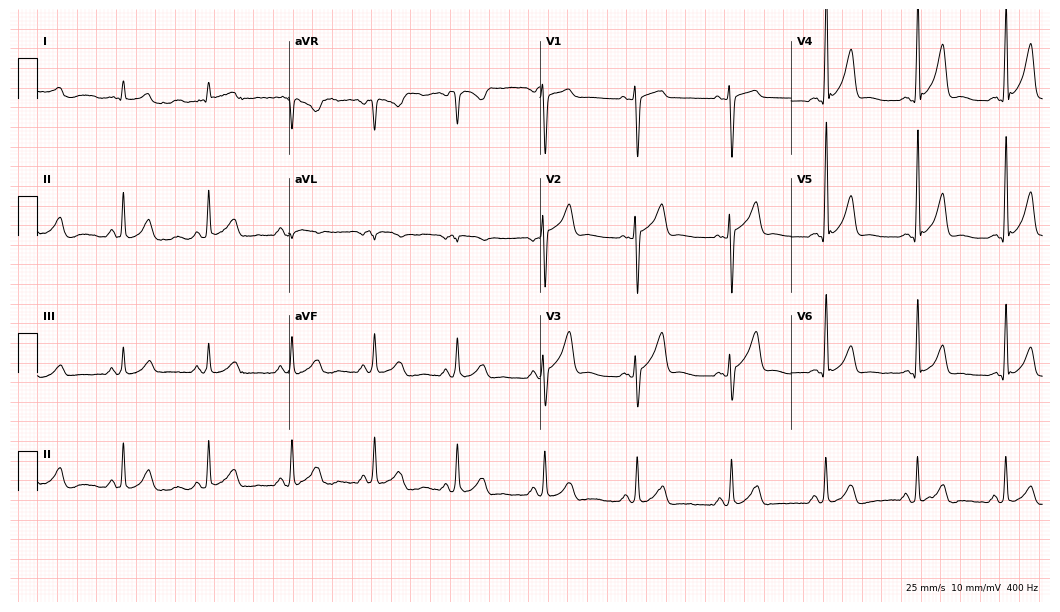
Electrocardiogram, a 28-year-old male. Overall reading on record: normal ECG.